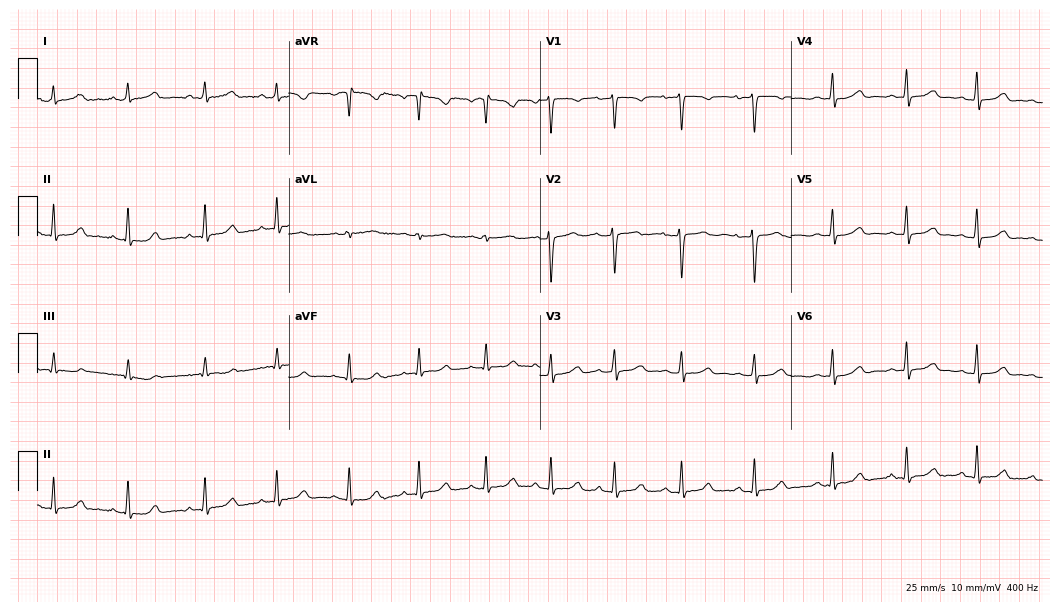
Electrocardiogram (10.2-second recording at 400 Hz), a 24-year-old woman. Of the six screened findings (first-degree AV block, right bundle branch block (RBBB), left bundle branch block (LBBB), sinus bradycardia, atrial fibrillation (AF), sinus tachycardia), none is recorded.